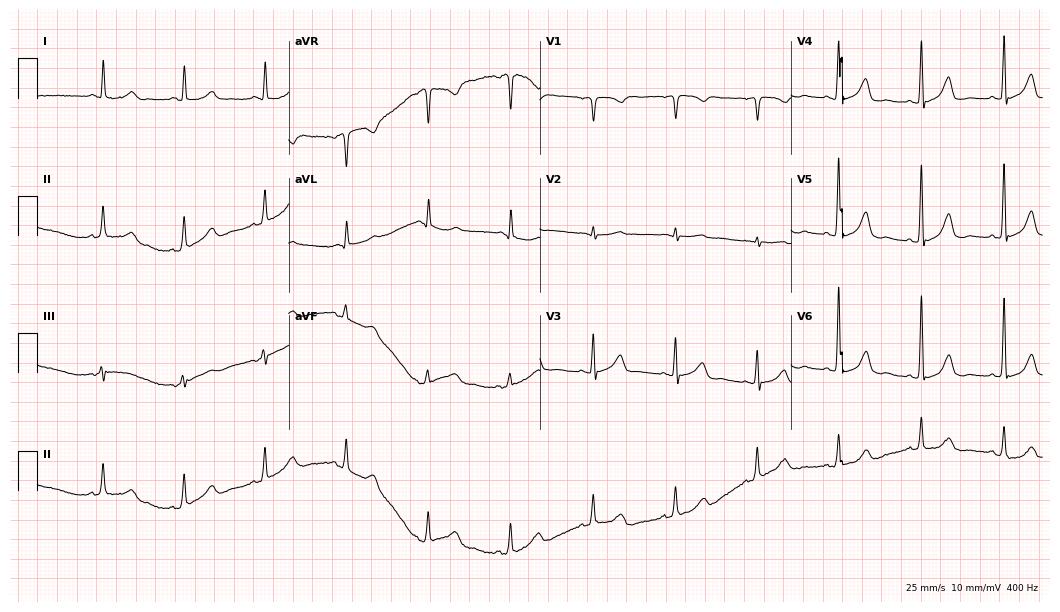
Resting 12-lead electrocardiogram (10.2-second recording at 400 Hz). Patient: an 83-year-old woman. Read as a normal ECG.